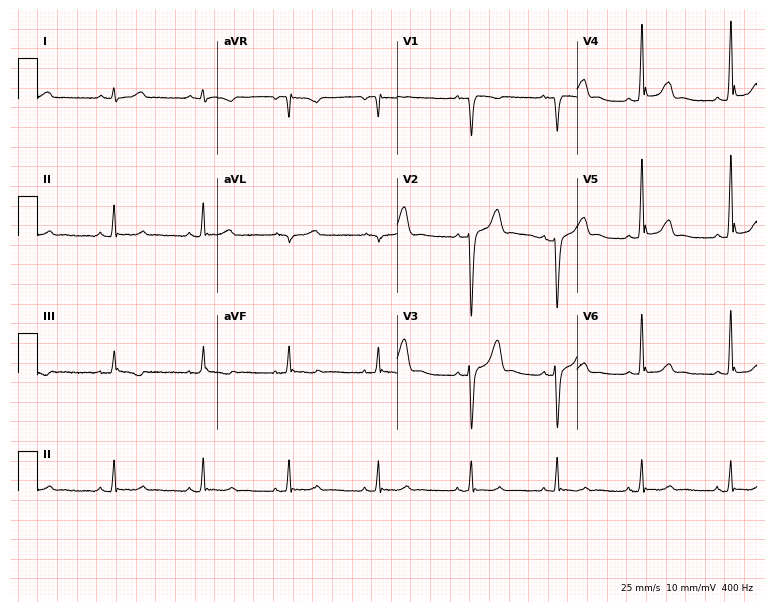
Resting 12-lead electrocardiogram (7.3-second recording at 400 Hz). Patient: a man, 33 years old. None of these six findings is recorded: first-degree AV block, right bundle branch block, left bundle branch block, sinus bradycardia, atrial fibrillation, sinus tachycardia. Only these six findings were labelled.